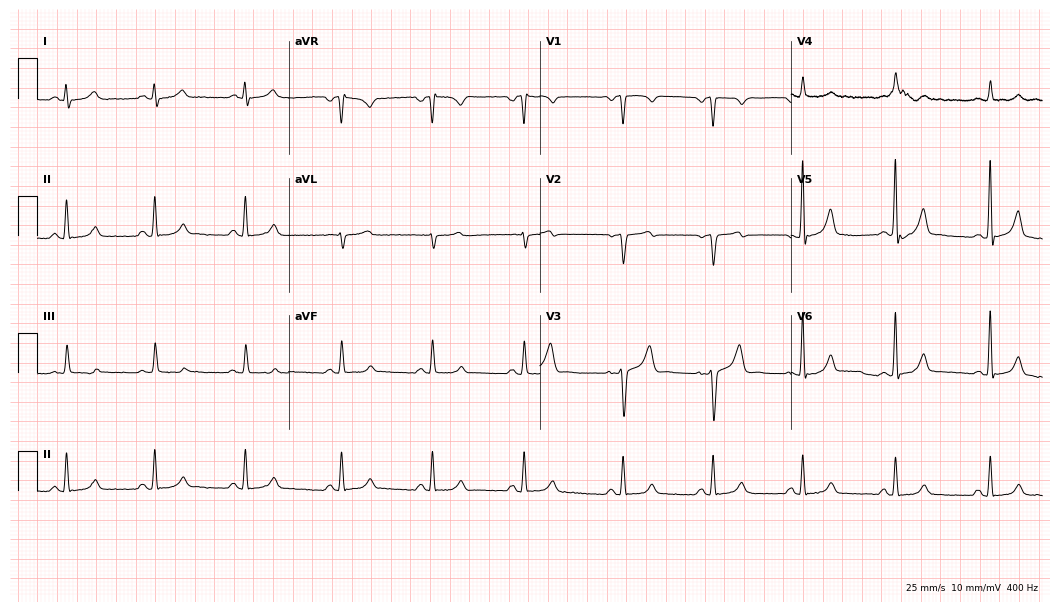
12-lead ECG (10.2-second recording at 400 Hz) from a 60-year-old man. Screened for six findings — first-degree AV block, right bundle branch block, left bundle branch block, sinus bradycardia, atrial fibrillation, sinus tachycardia — none is recorded.